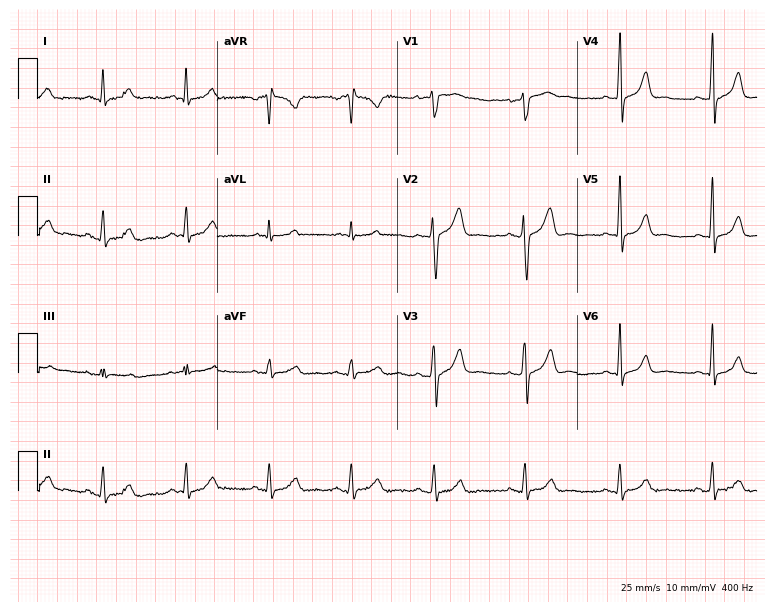
12-lead ECG from a female, 34 years old. No first-degree AV block, right bundle branch block, left bundle branch block, sinus bradycardia, atrial fibrillation or sinus tachycardia recorded for this tracing. Findings outside these six are not listed.